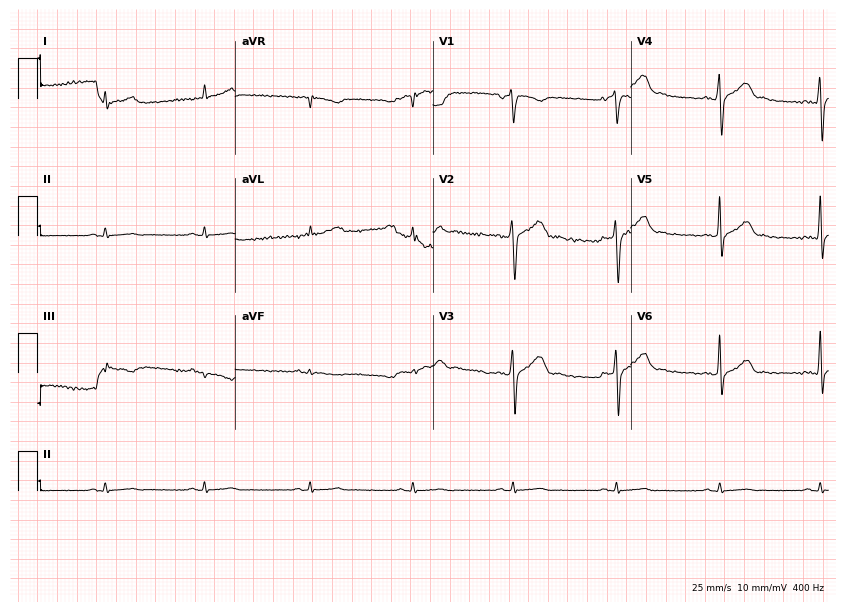
Standard 12-lead ECG recorded from a male patient, 58 years old (8.1-second recording at 400 Hz). Read as a normal ECG.